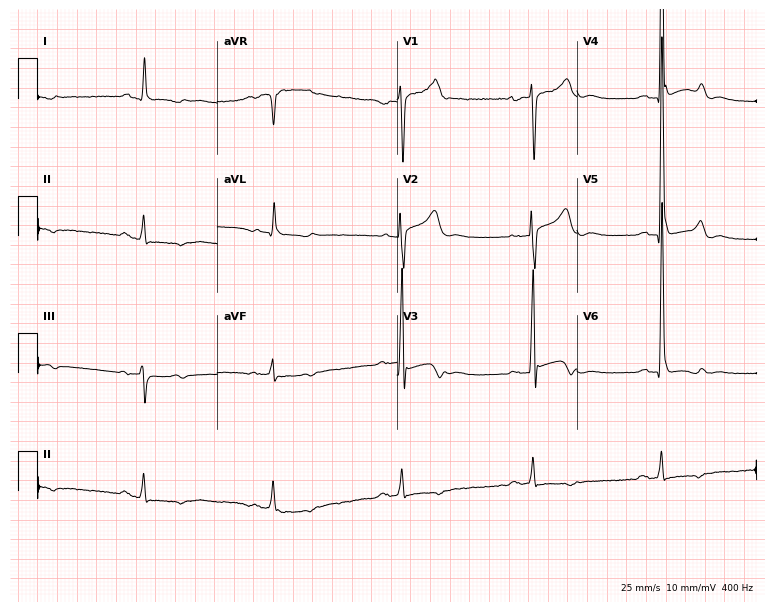
12-lead ECG from a man, 78 years old. Screened for six findings — first-degree AV block, right bundle branch block (RBBB), left bundle branch block (LBBB), sinus bradycardia, atrial fibrillation (AF), sinus tachycardia — none is recorded.